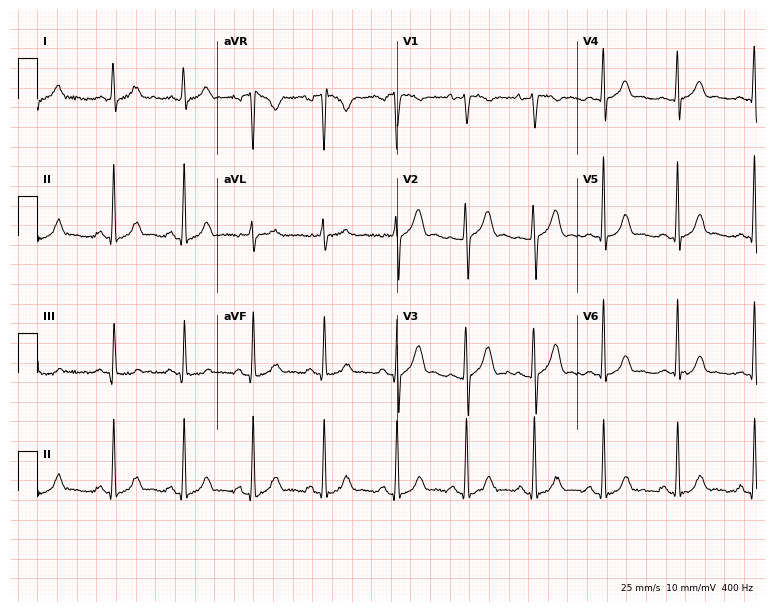
Resting 12-lead electrocardiogram (7.3-second recording at 400 Hz). Patient: a 24-year-old woman. Read as a normal ECG.